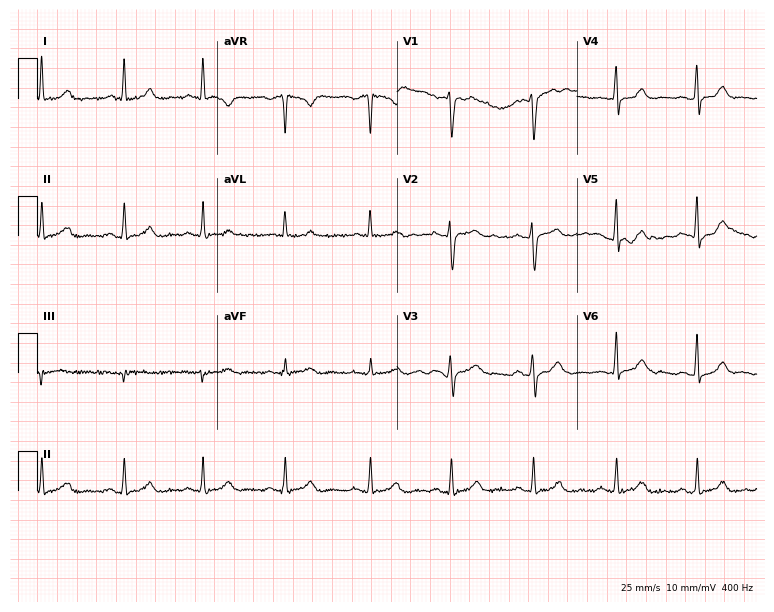
12-lead ECG from a 20-year-old woman (7.3-second recording at 400 Hz). Recorded interpretation: within normal limits.